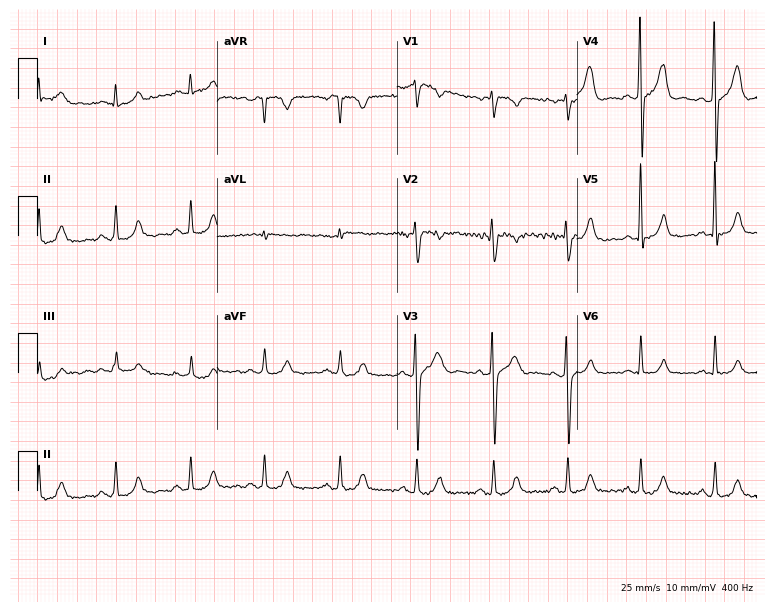
Resting 12-lead electrocardiogram (7.3-second recording at 400 Hz). Patient: a male, 62 years old. None of these six findings is recorded: first-degree AV block, right bundle branch block, left bundle branch block, sinus bradycardia, atrial fibrillation, sinus tachycardia. Other findings, if any, are not listed.